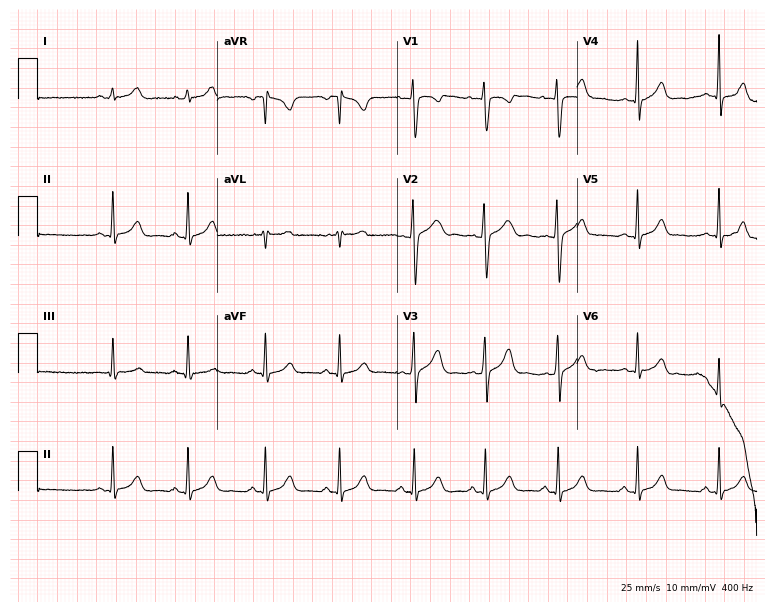
12-lead ECG from a female, 21 years old. Recorded interpretation: within normal limits.